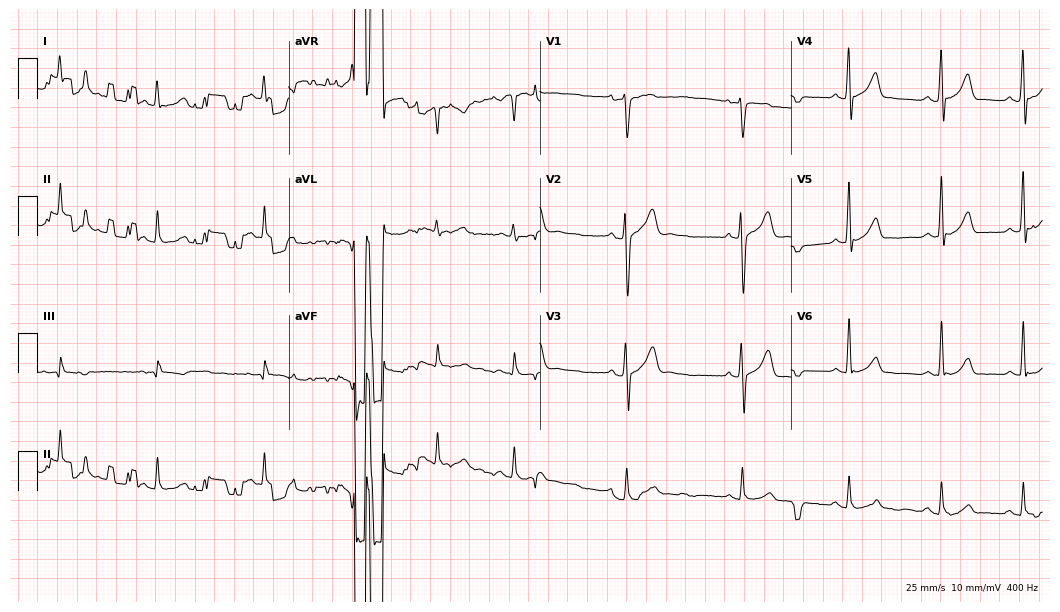
Electrocardiogram, a male patient, 39 years old. Of the six screened findings (first-degree AV block, right bundle branch block, left bundle branch block, sinus bradycardia, atrial fibrillation, sinus tachycardia), none is recorded.